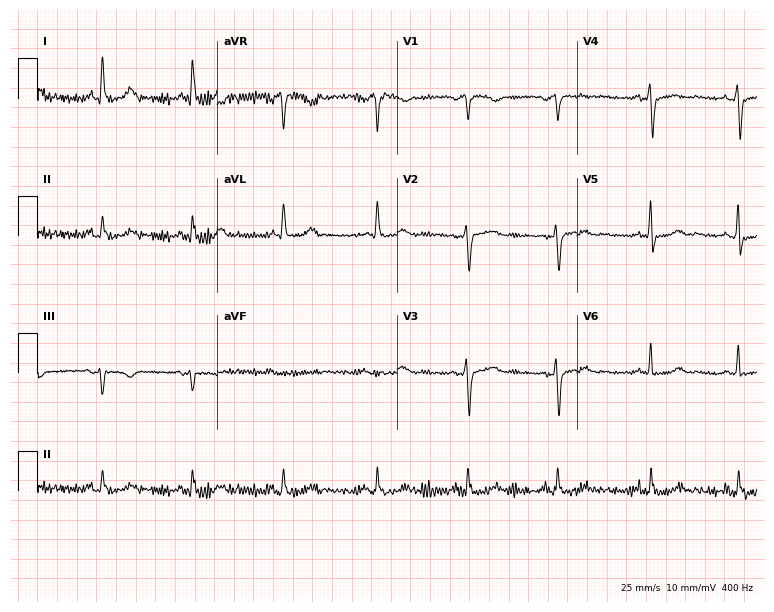
12-lead ECG from a female, 64 years old (7.3-second recording at 400 Hz). No first-degree AV block, right bundle branch block (RBBB), left bundle branch block (LBBB), sinus bradycardia, atrial fibrillation (AF) or sinus tachycardia recorded for this tracing.